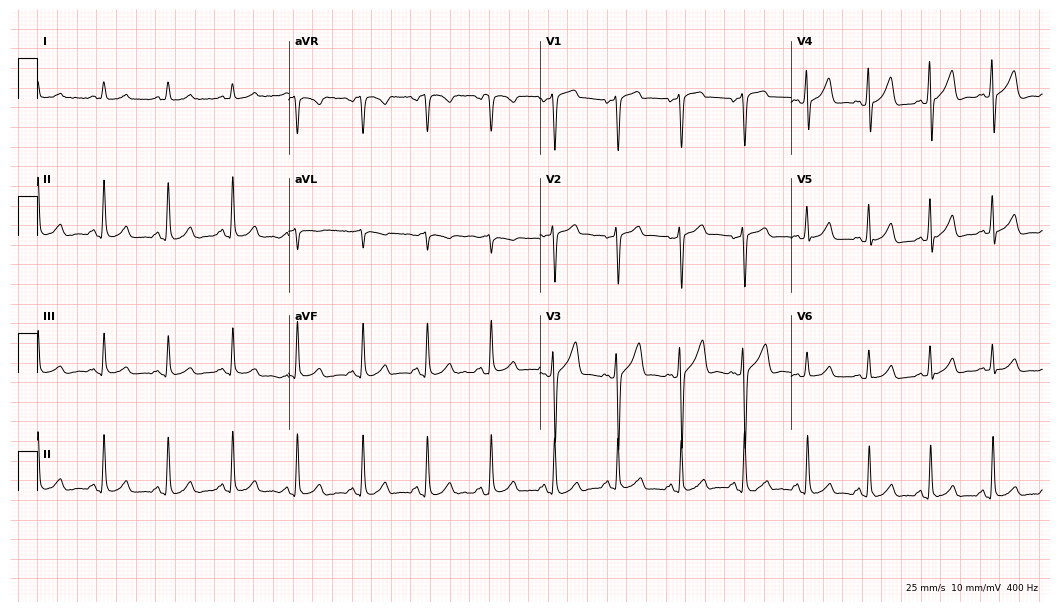
12-lead ECG (10.2-second recording at 400 Hz) from a 58-year-old male patient. Labelled as a normal ECG.